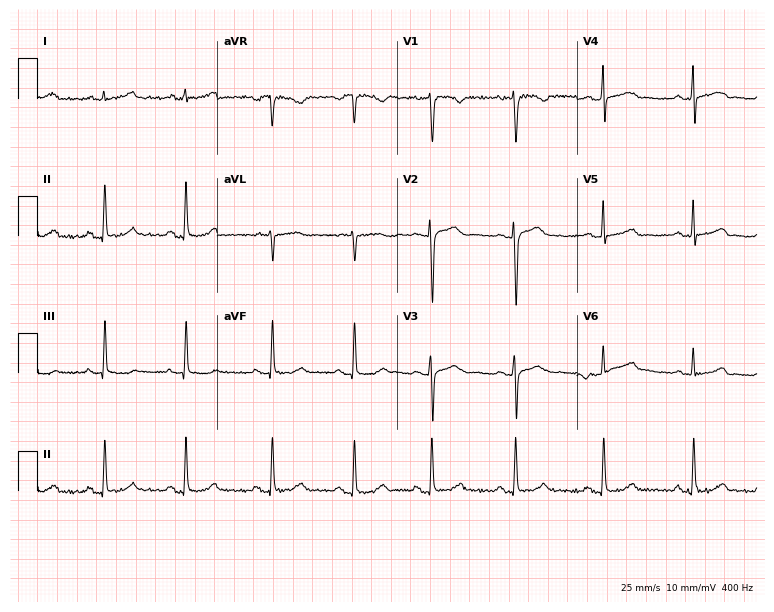
ECG — a female, 33 years old. Screened for six findings — first-degree AV block, right bundle branch block, left bundle branch block, sinus bradycardia, atrial fibrillation, sinus tachycardia — none is recorded. Other findings, if any, are not listed.